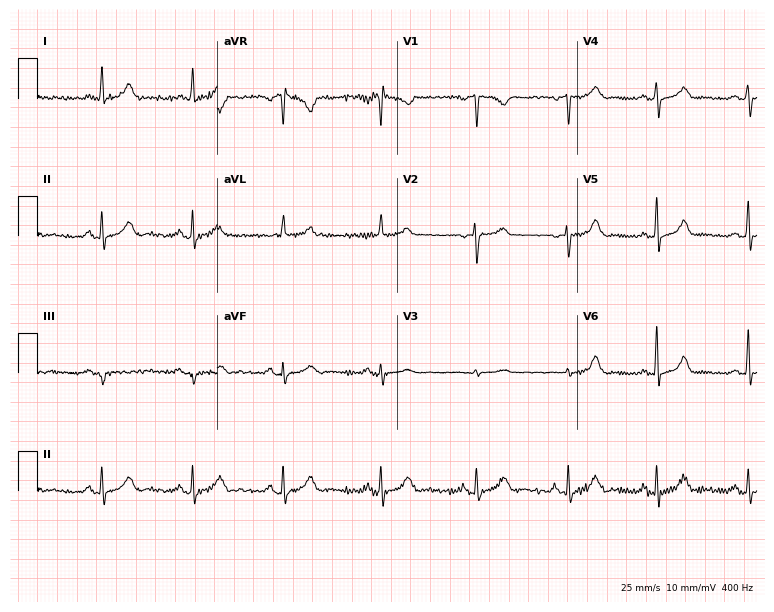
12-lead ECG from a female patient, 44 years old. No first-degree AV block, right bundle branch block, left bundle branch block, sinus bradycardia, atrial fibrillation or sinus tachycardia recorded for this tracing. Other findings, if any, are not listed.